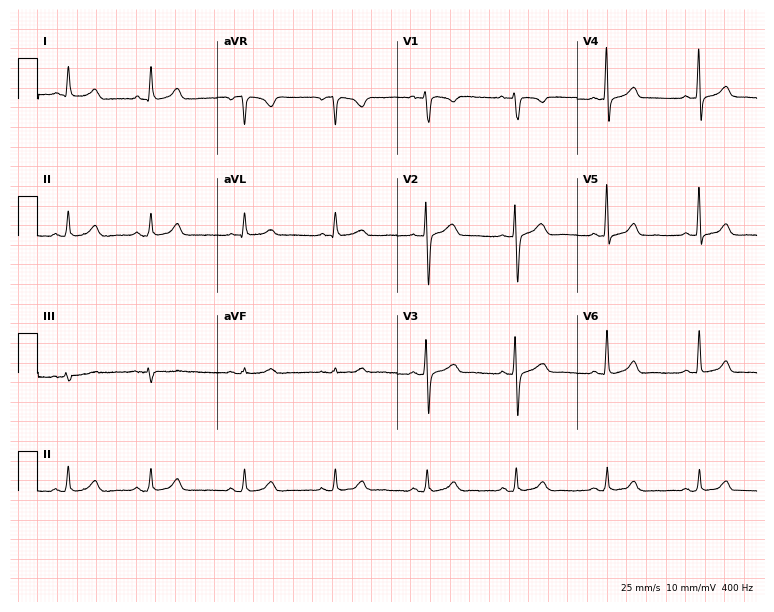
12-lead ECG from a 53-year-old male (7.3-second recording at 400 Hz). Recorded interpretation: within normal limits.